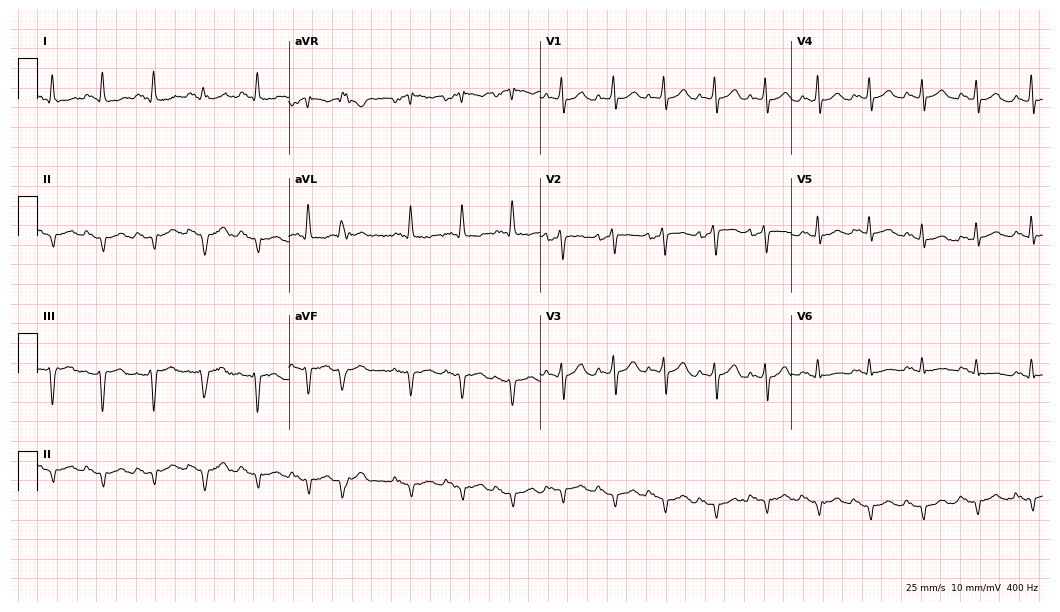
Standard 12-lead ECG recorded from a man, 69 years old (10.2-second recording at 400 Hz). The tracing shows sinus tachycardia (a sinus rate of 100 beats per minute or more).